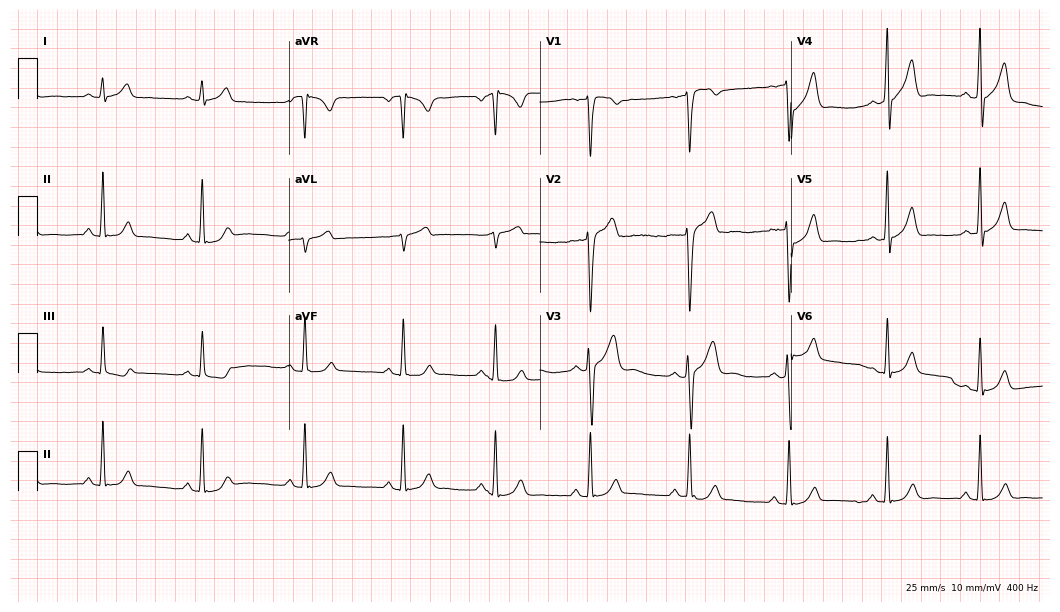
12-lead ECG (10.2-second recording at 400 Hz) from a male, 19 years old. Labelled as a normal ECG.